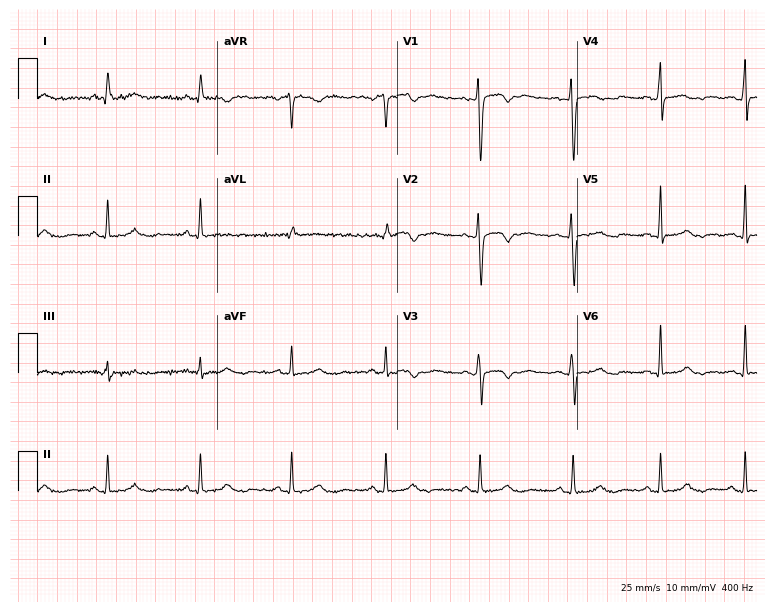
12-lead ECG from a female, 52 years old (7.3-second recording at 400 Hz). Recorded interpretation: within normal limits.